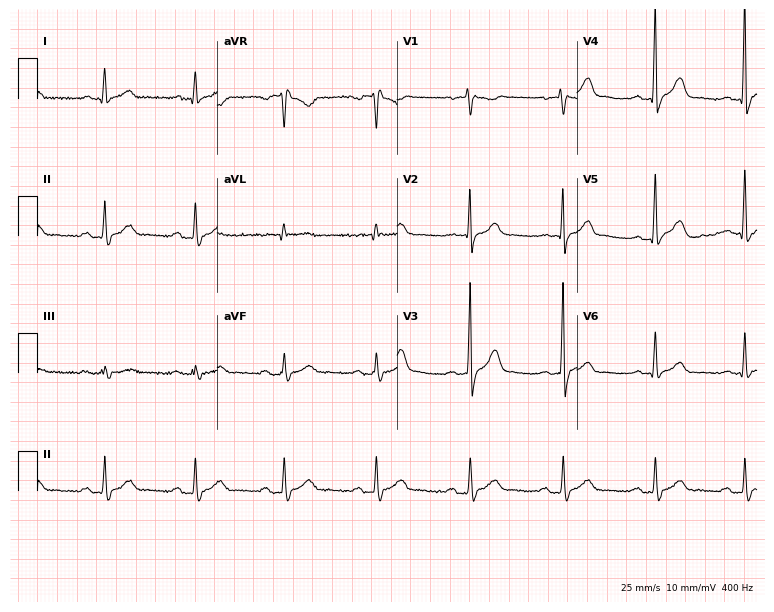
Electrocardiogram (7.3-second recording at 400 Hz), a male patient, 56 years old. Of the six screened findings (first-degree AV block, right bundle branch block, left bundle branch block, sinus bradycardia, atrial fibrillation, sinus tachycardia), none is recorded.